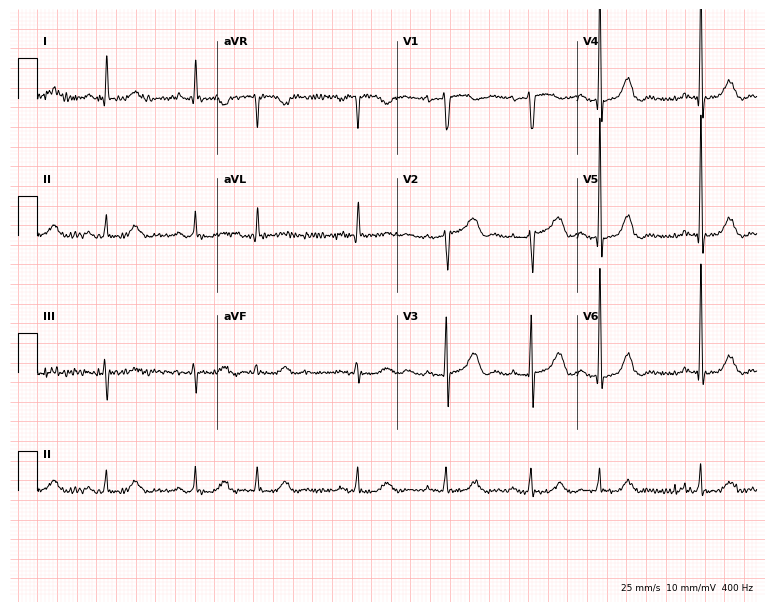
Standard 12-lead ECG recorded from an 85-year-old woman (7.3-second recording at 400 Hz). None of these six findings is recorded: first-degree AV block, right bundle branch block, left bundle branch block, sinus bradycardia, atrial fibrillation, sinus tachycardia. Other findings, if any, are not listed.